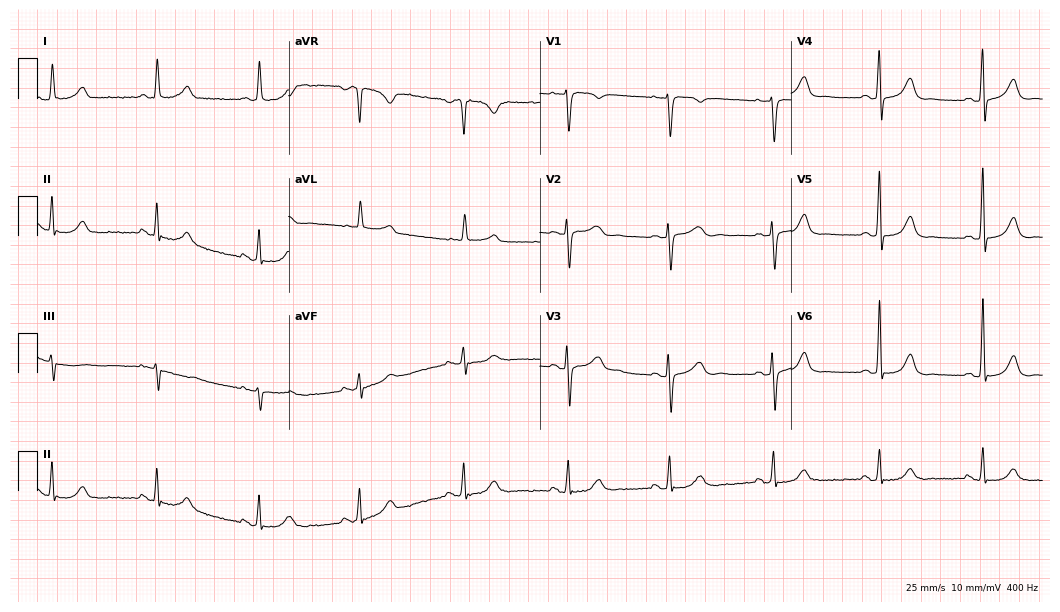
12-lead ECG from a female patient, 80 years old. No first-degree AV block, right bundle branch block (RBBB), left bundle branch block (LBBB), sinus bradycardia, atrial fibrillation (AF) or sinus tachycardia recorded for this tracing. Other findings, if any, are not listed.